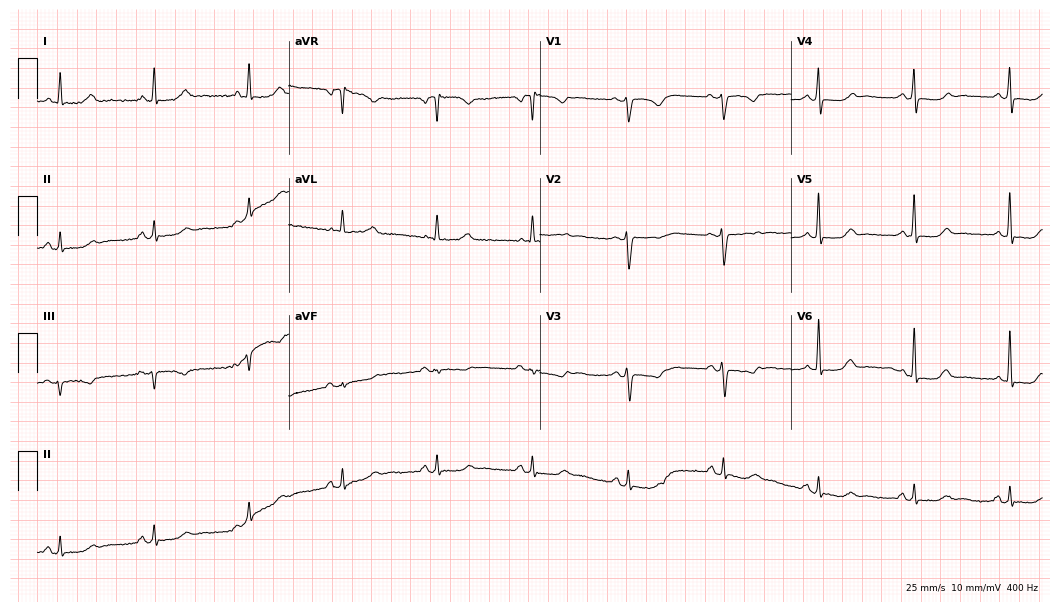
Resting 12-lead electrocardiogram (10.2-second recording at 400 Hz). Patient: a 63-year-old woman. None of these six findings is recorded: first-degree AV block, right bundle branch block, left bundle branch block, sinus bradycardia, atrial fibrillation, sinus tachycardia. Findings outside these six are not listed.